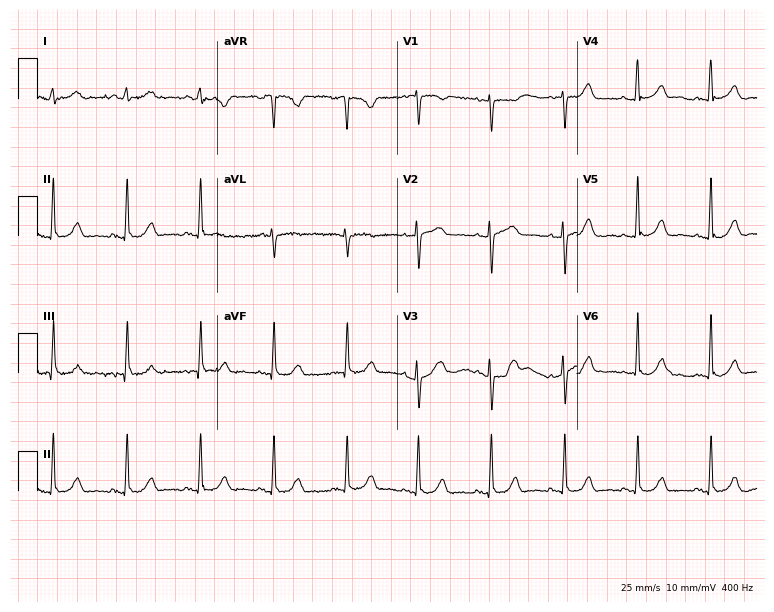
Electrocardiogram (7.3-second recording at 400 Hz), a 52-year-old woman. Overall reading on record: normal ECG.